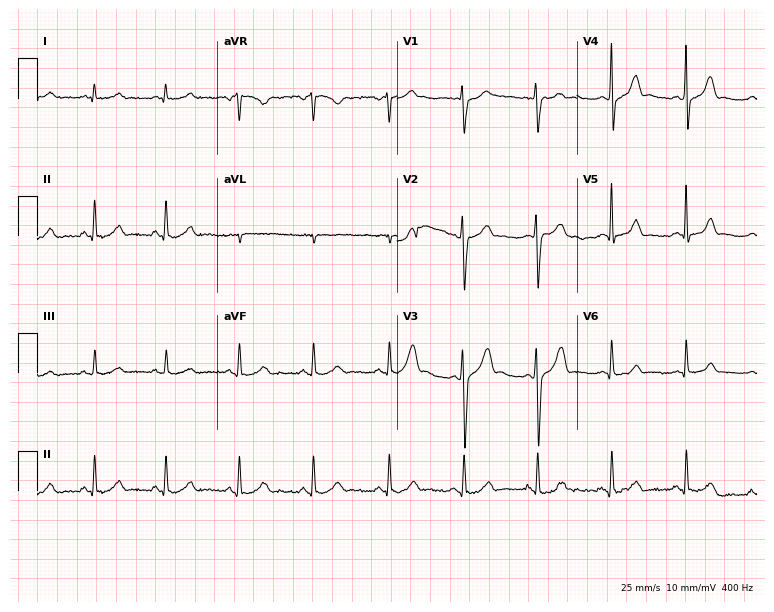
Resting 12-lead electrocardiogram. Patient: a 41-year-old male. None of these six findings is recorded: first-degree AV block, right bundle branch block, left bundle branch block, sinus bradycardia, atrial fibrillation, sinus tachycardia.